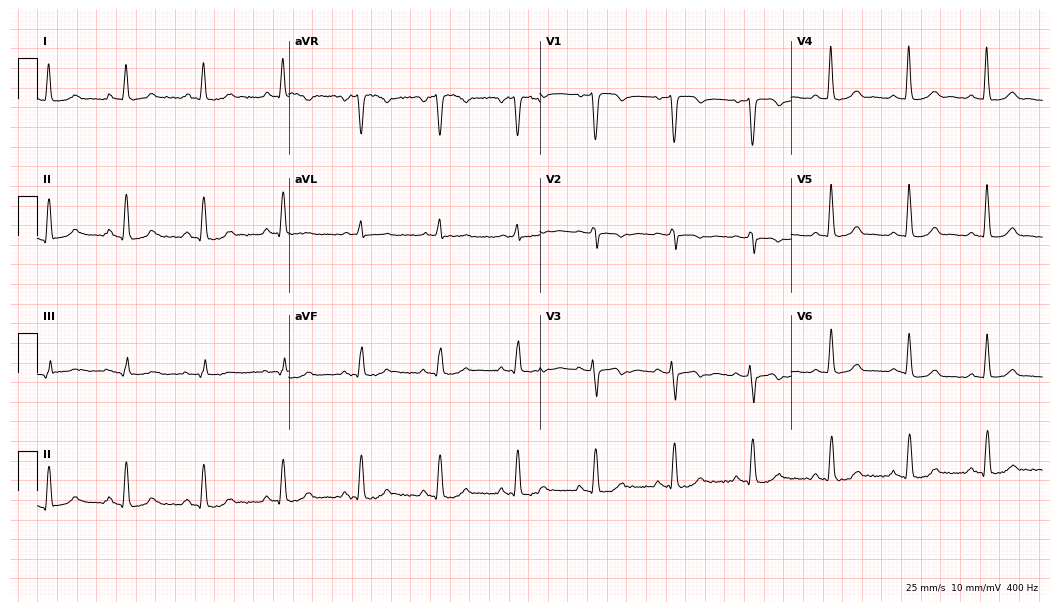
12-lead ECG (10.2-second recording at 400 Hz) from a man, 58 years old. Screened for six findings — first-degree AV block, right bundle branch block, left bundle branch block, sinus bradycardia, atrial fibrillation, sinus tachycardia — none is recorded. Findings outside these six are not listed.